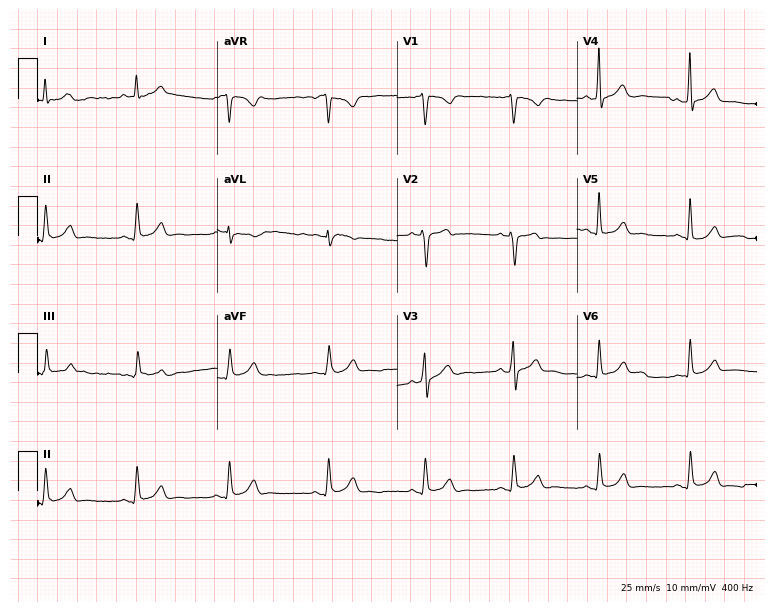
ECG (7.3-second recording at 400 Hz) — a 26-year-old male. Screened for six findings — first-degree AV block, right bundle branch block, left bundle branch block, sinus bradycardia, atrial fibrillation, sinus tachycardia — none is recorded. Other findings, if any, are not listed.